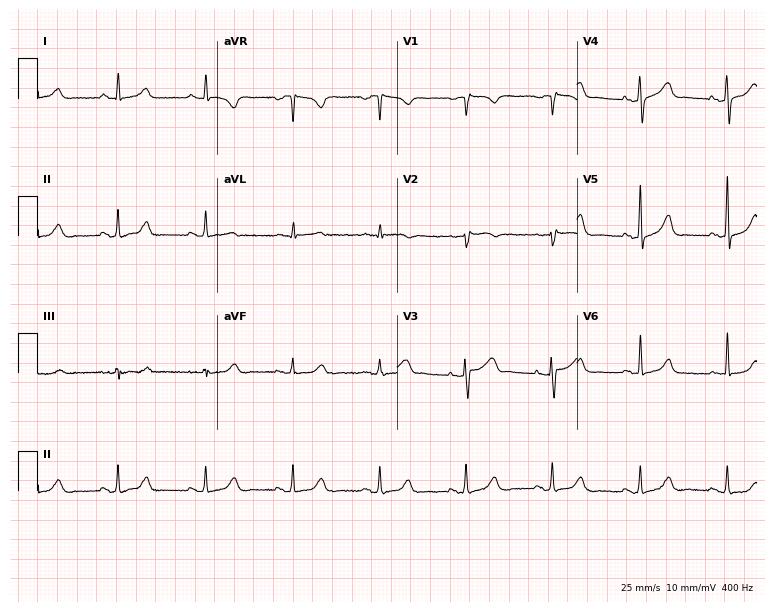
Resting 12-lead electrocardiogram. Patient: a female, 69 years old. Read as a normal ECG.